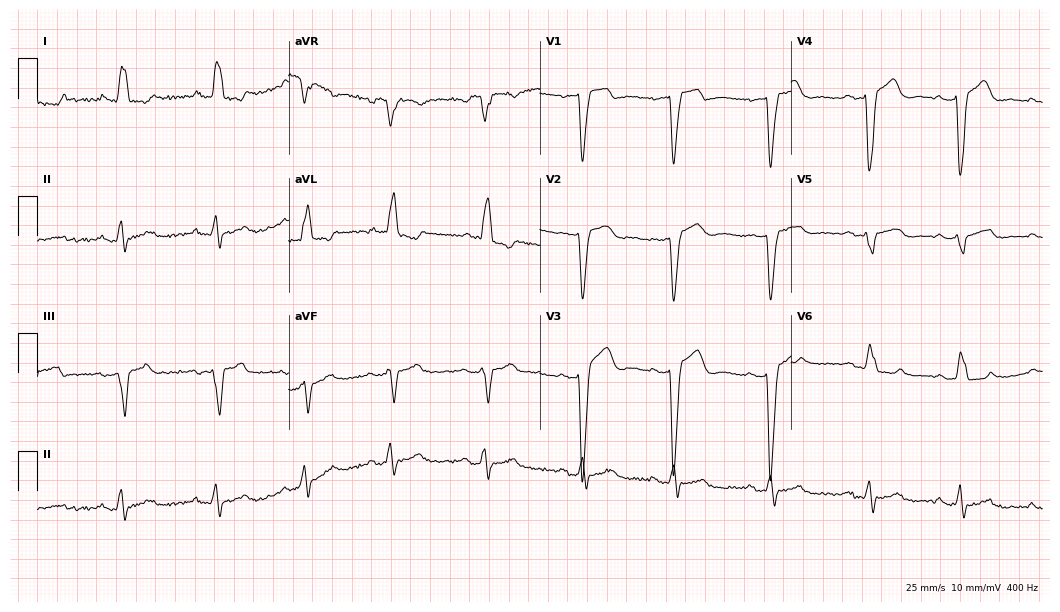
12-lead ECG (10.2-second recording at 400 Hz) from a 54-year-old female. Findings include left bundle branch block.